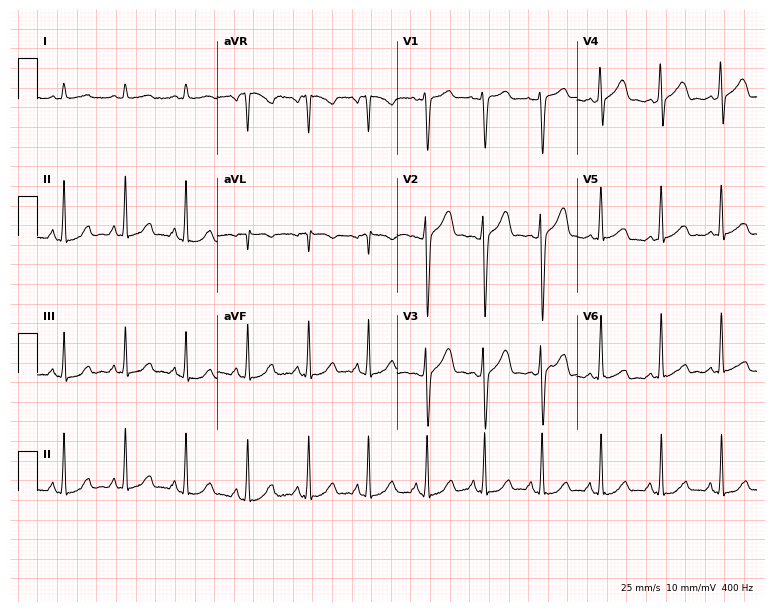
Standard 12-lead ECG recorded from a man, 40 years old. Read as a normal ECG.